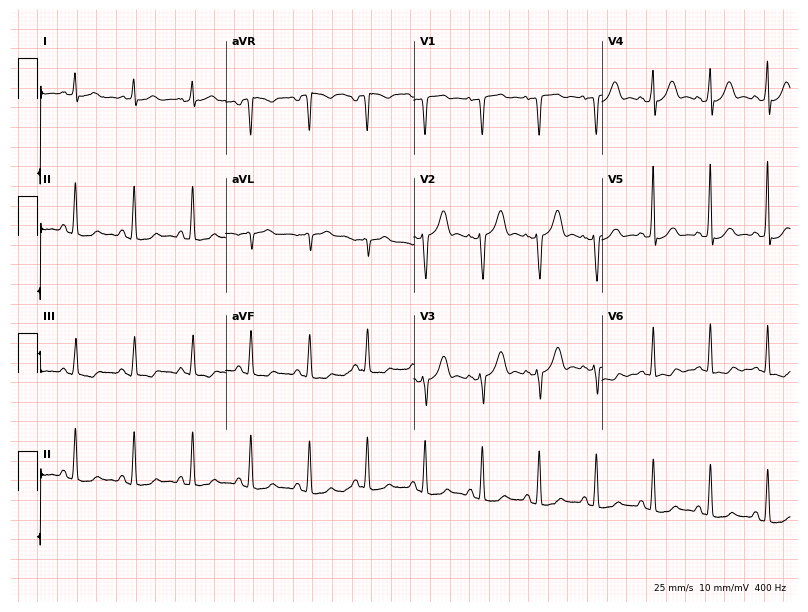
Electrocardiogram, a male patient, 50 years old. Interpretation includes sinus tachycardia (a sinus rate of 100 beats per minute or more).